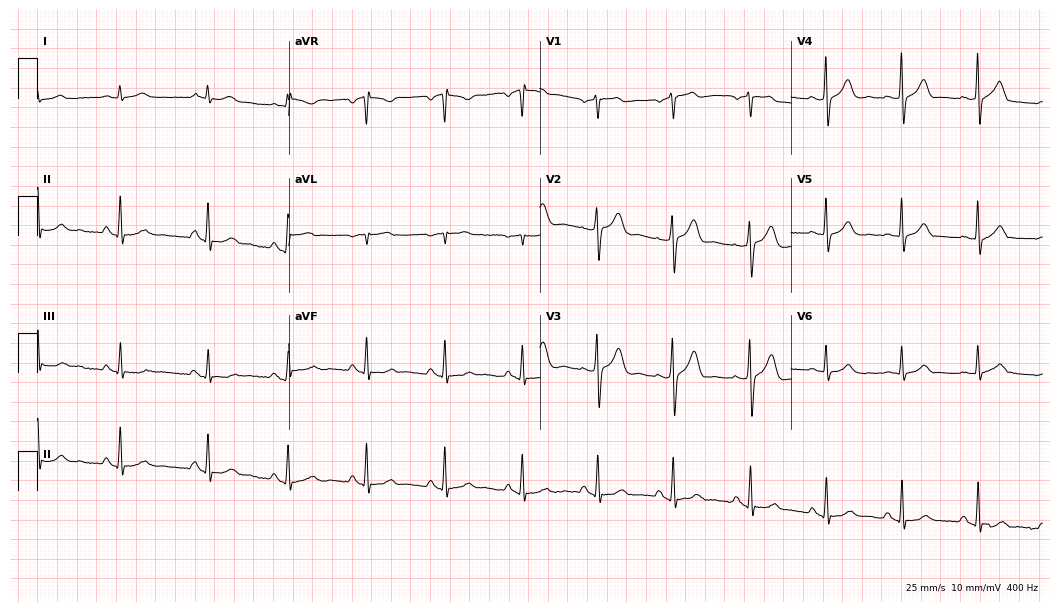
ECG — a 57-year-old male patient. Labelled as a normal ECG.